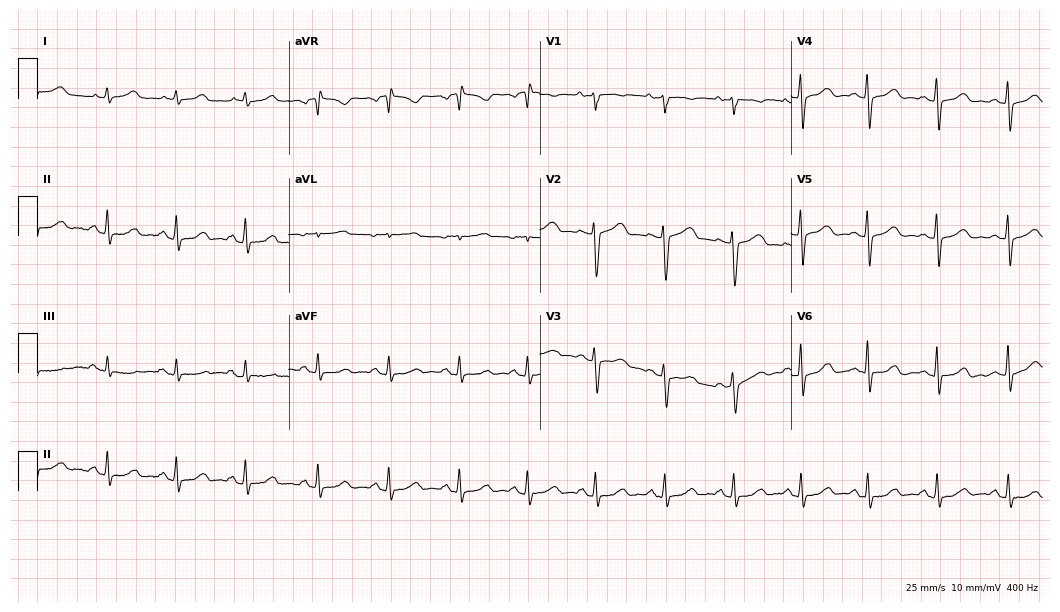
Electrocardiogram, a 51-year-old woman. Overall reading on record: normal ECG.